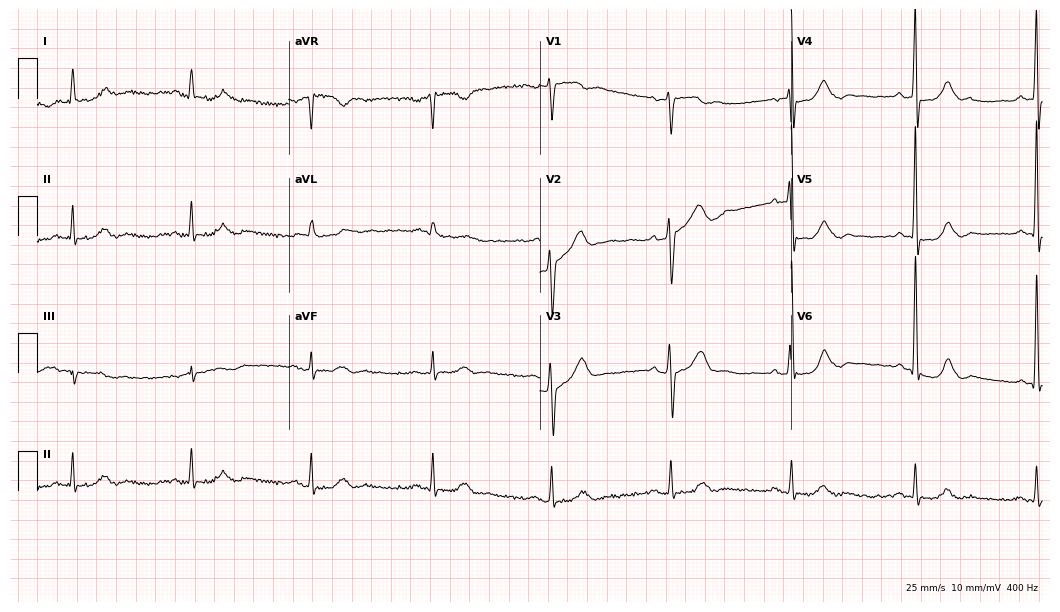
12-lead ECG from a male, 77 years old. Shows sinus bradycardia (a sinus rate of 50 beats per minute or less).